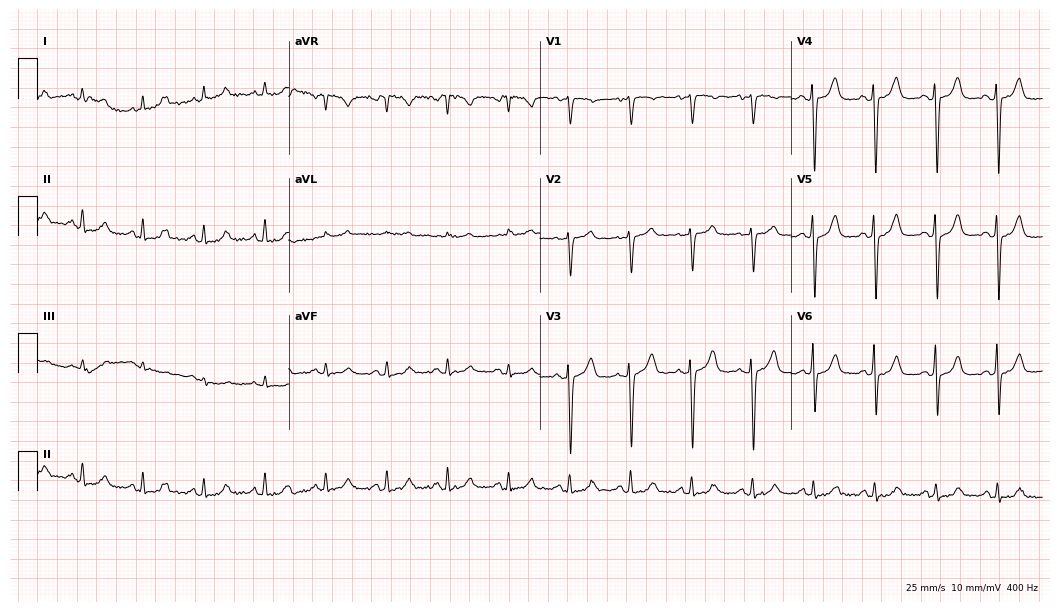
12-lead ECG from a female patient, 85 years old. Screened for six findings — first-degree AV block, right bundle branch block, left bundle branch block, sinus bradycardia, atrial fibrillation, sinus tachycardia — none is recorded.